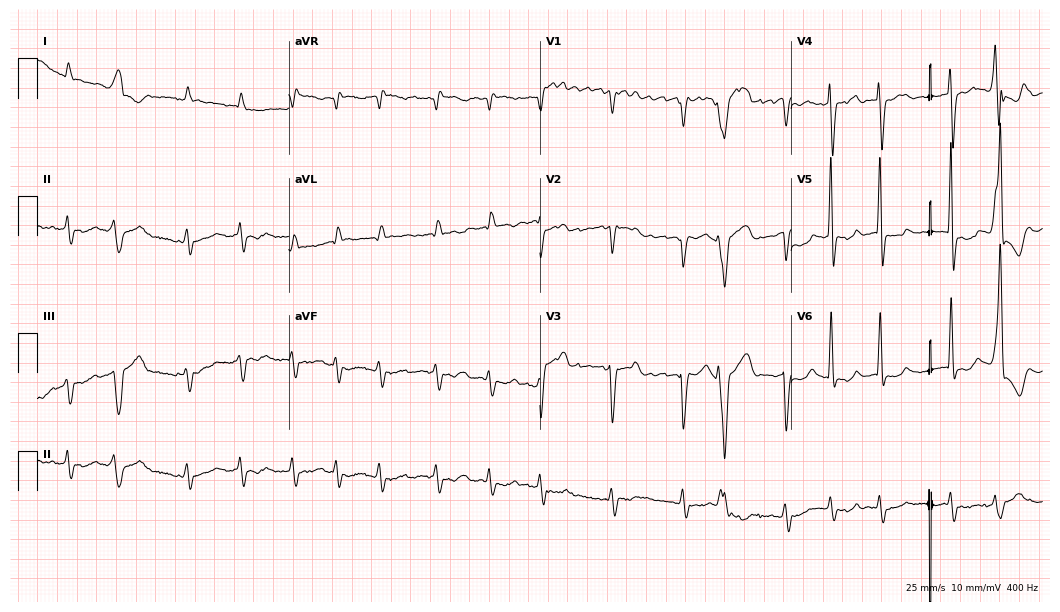
Resting 12-lead electrocardiogram. Patient: an 80-year-old male. The tracing shows atrial fibrillation (AF).